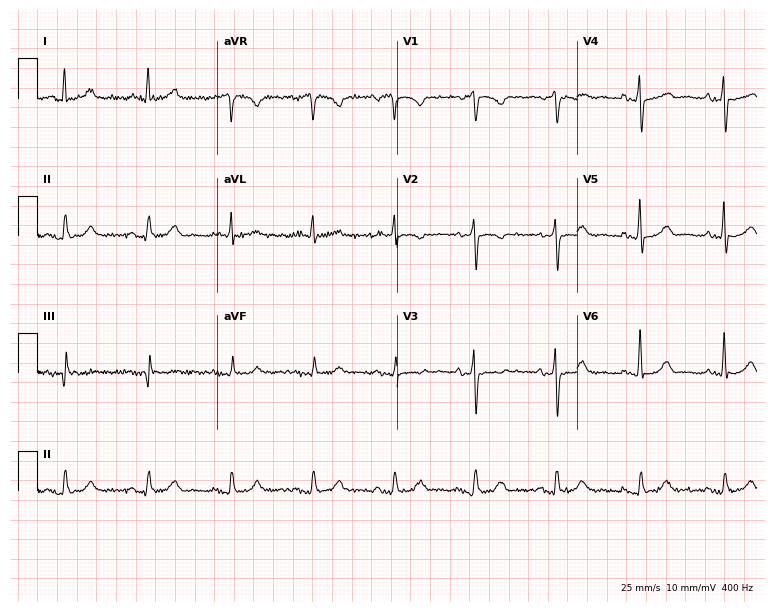
Standard 12-lead ECG recorded from a female patient, 65 years old. Read as a normal ECG.